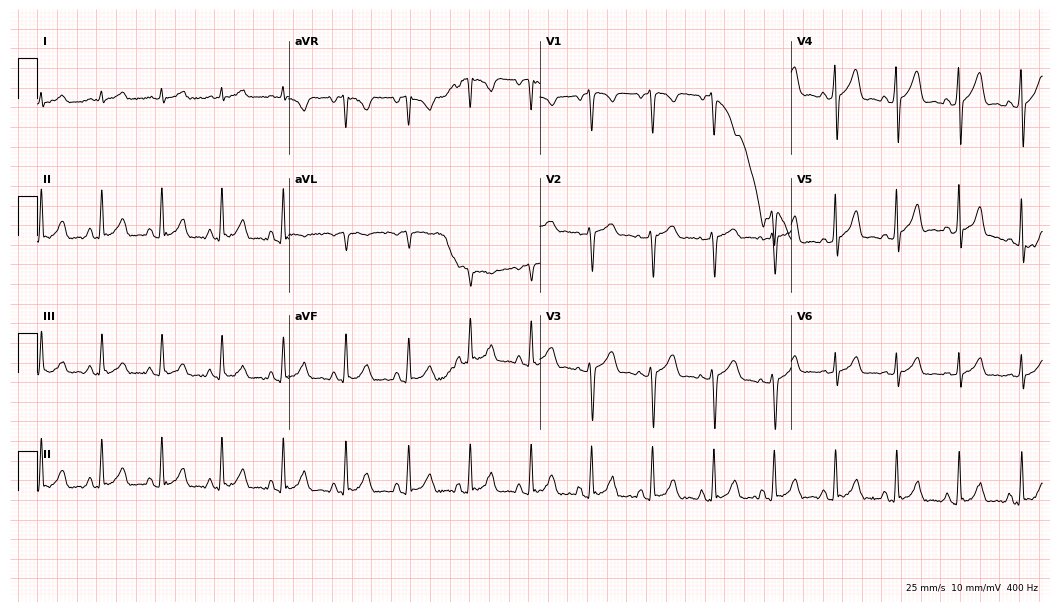
12-lead ECG from a male, 45 years old. Labelled as a normal ECG.